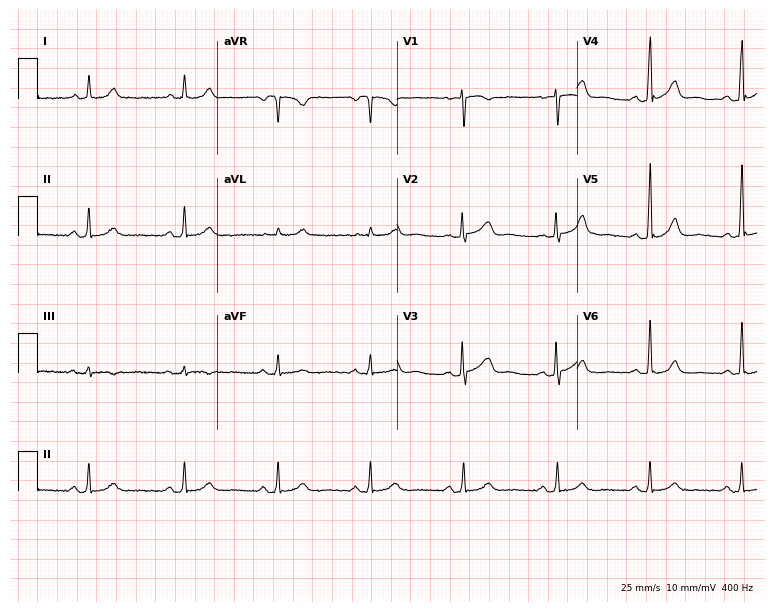
ECG — a woman, 41 years old. Labelled as a normal ECG.